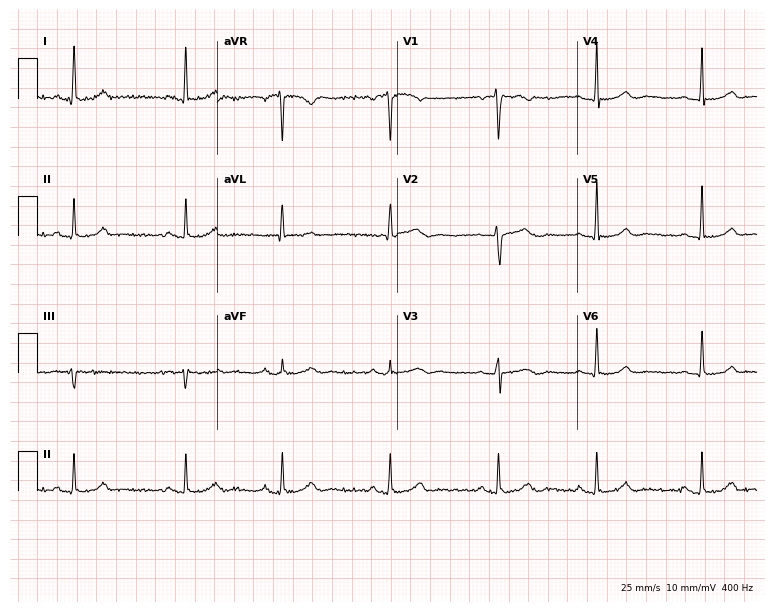
Standard 12-lead ECG recorded from a woman, 47 years old. Read as a normal ECG.